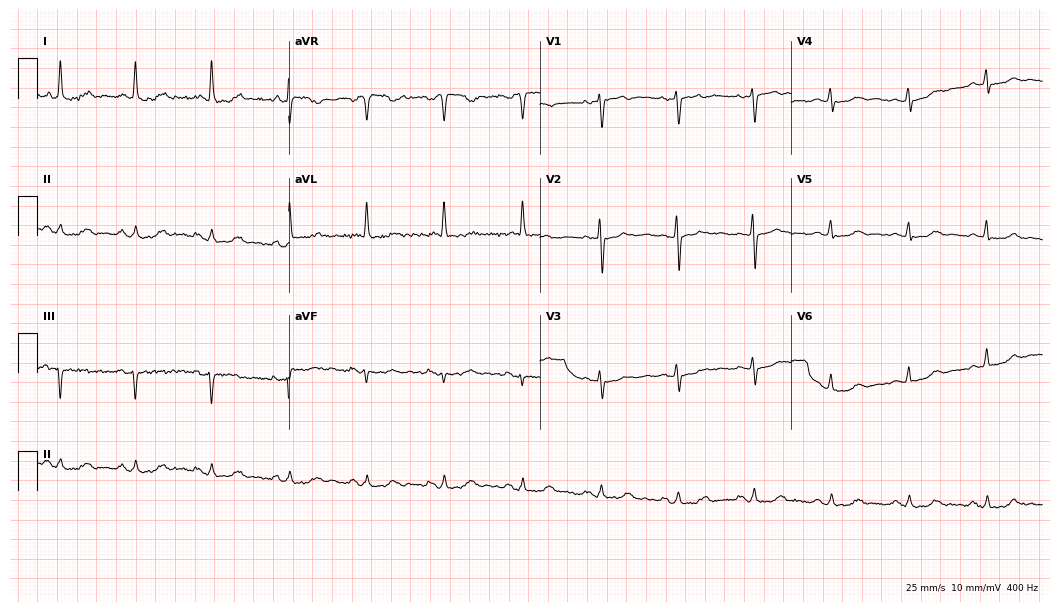
12-lead ECG from a 71-year-old female patient. Screened for six findings — first-degree AV block, right bundle branch block, left bundle branch block, sinus bradycardia, atrial fibrillation, sinus tachycardia — none is recorded. Only these six findings were labelled.